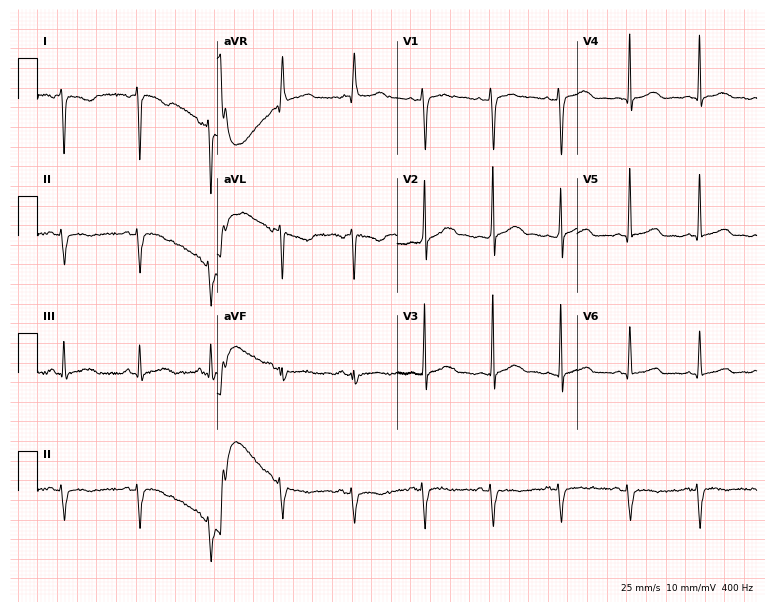
Electrocardiogram, a female, 31 years old. Of the six screened findings (first-degree AV block, right bundle branch block (RBBB), left bundle branch block (LBBB), sinus bradycardia, atrial fibrillation (AF), sinus tachycardia), none is recorded.